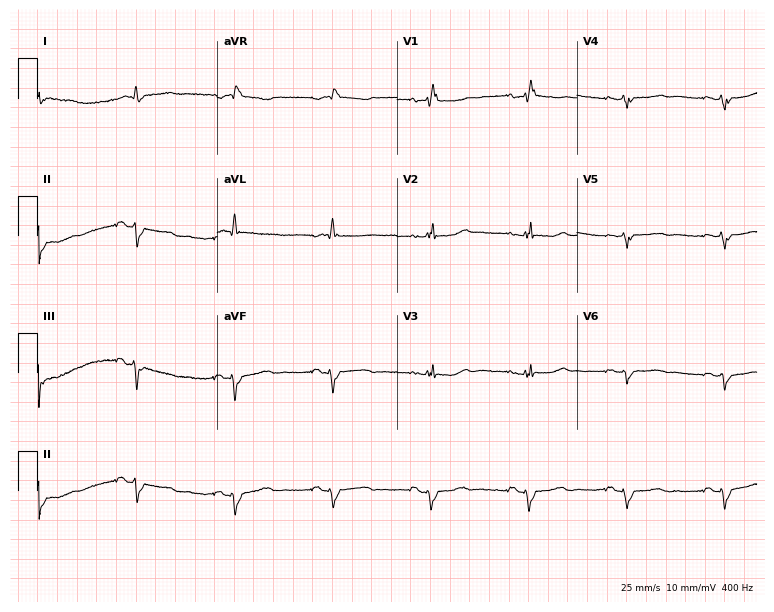
Standard 12-lead ECG recorded from a 61-year-old female patient. The tracing shows right bundle branch block (RBBB).